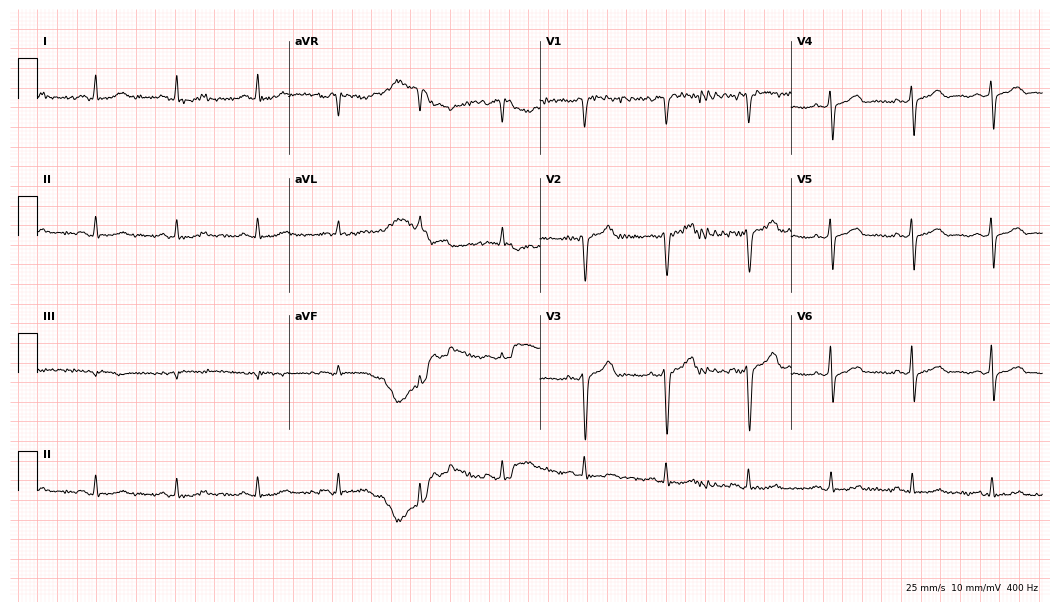
12-lead ECG from a 64-year-old male patient. Screened for six findings — first-degree AV block, right bundle branch block, left bundle branch block, sinus bradycardia, atrial fibrillation, sinus tachycardia — none is recorded.